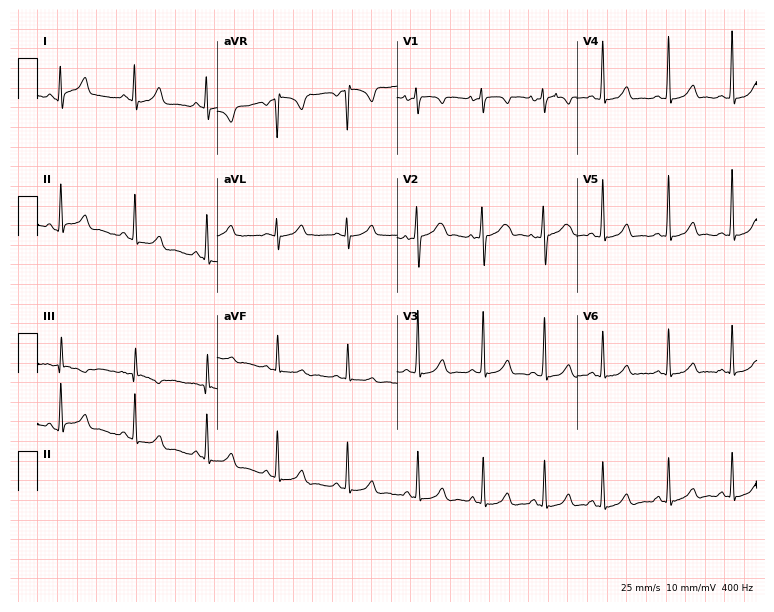
Electrocardiogram (7.3-second recording at 400 Hz), an 18-year-old female patient. Of the six screened findings (first-degree AV block, right bundle branch block (RBBB), left bundle branch block (LBBB), sinus bradycardia, atrial fibrillation (AF), sinus tachycardia), none is recorded. Findings outside these six are not listed.